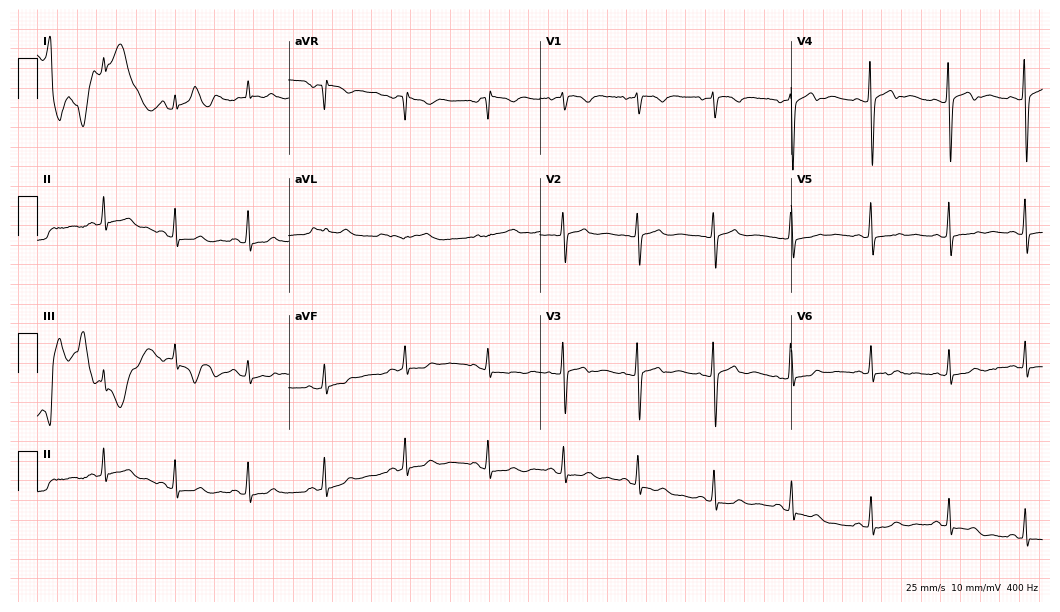
ECG — a 23-year-old female. Screened for six findings — first-degree AV block, right bundle branch block (RBBB), left bundle branch block (LBBB), sinus bradycardia, atrial fibrillation (AF), sinus tachycardia — none is recorded.